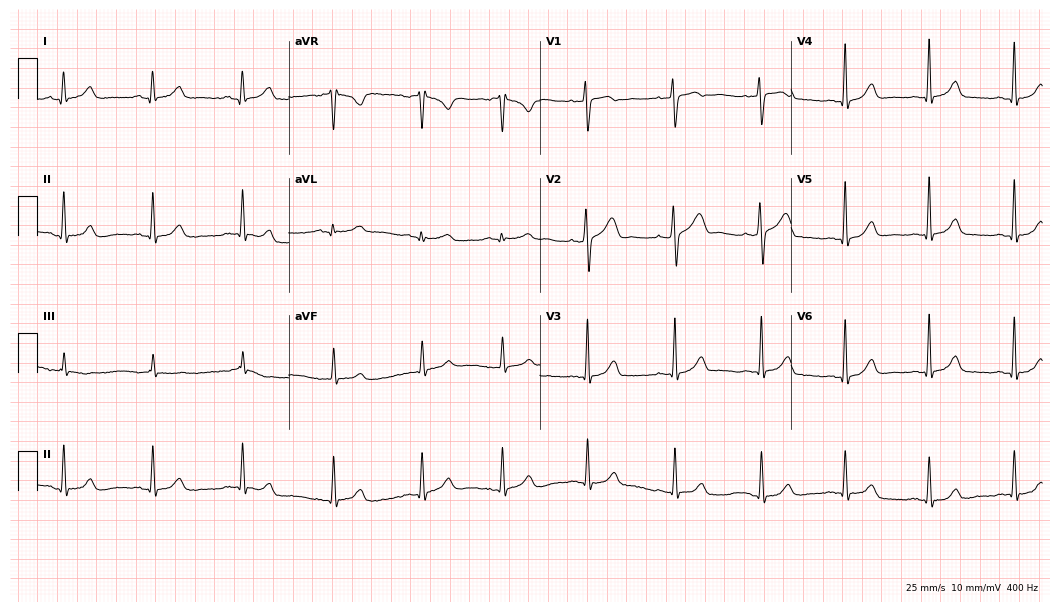
ECG (10.2-second recording at 400 Hz) — a 29-year-old female patient. Labelled as a normal ECG.